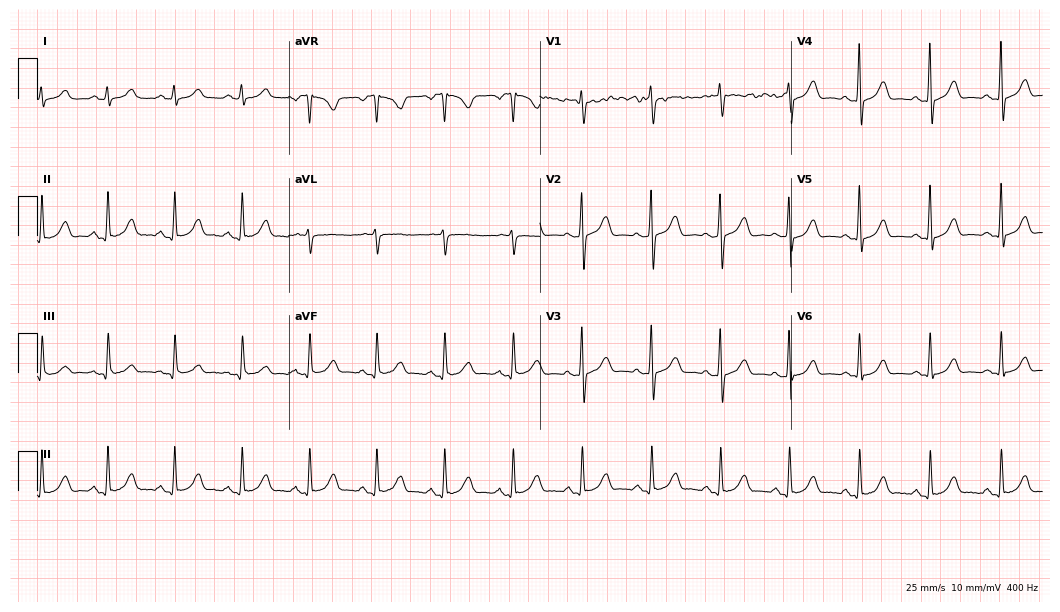
Standard 12-lead ECG recorded from a 62-year-old female (10.2-second recording at 400 Hz). Read as a normal ECG.